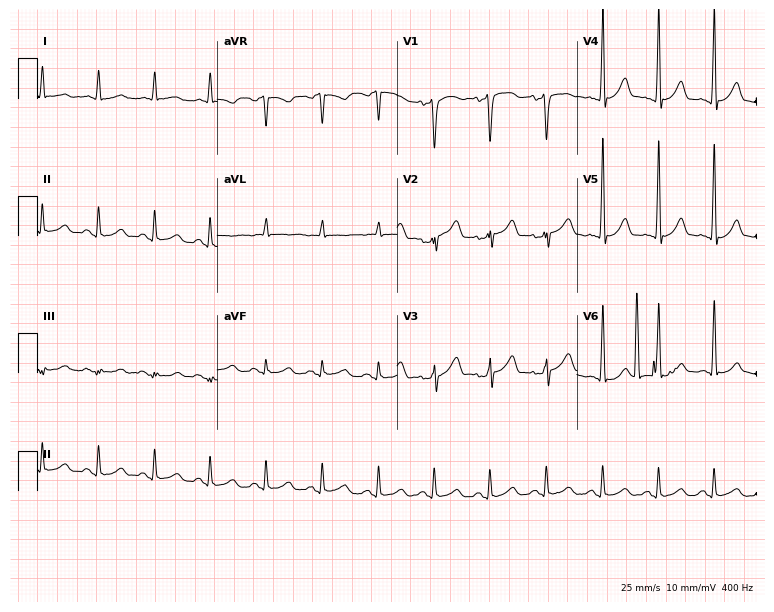
Standard 12-lead ECG recorded from a 59-year-old male patient. The tracing shows sinus tachycardia (a sinus rate of 100 beats per minute or more).